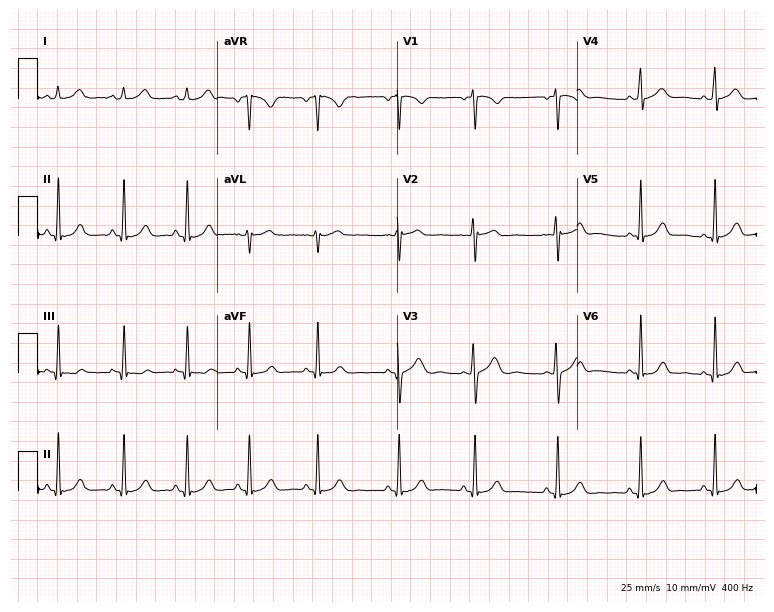
Standard 12-lead ECG recorded from a 22-year-old female. None of these six findings is recorded: first-degree AV block, right bundle branch block, left bundle branch block, sinus bradycardia, atrial fibrillation, sinus tachycardia. Findings outside these six are not listed.